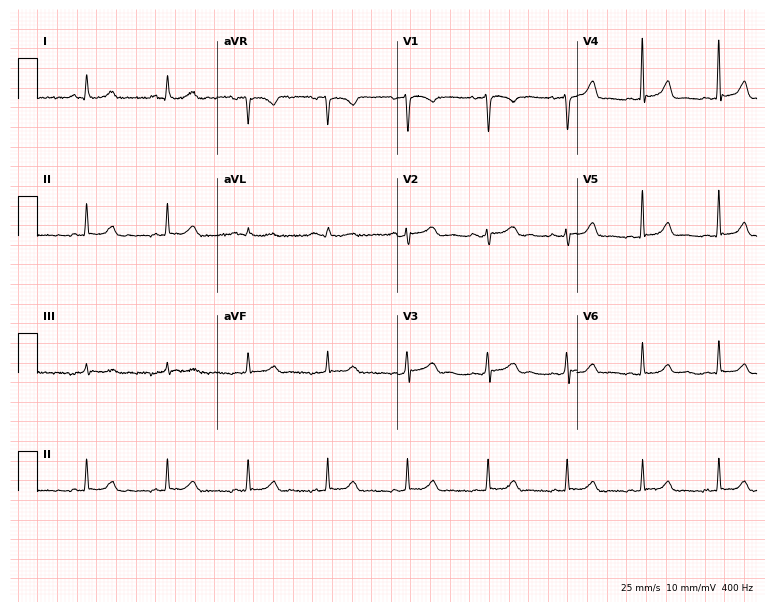
Standard 12-lead ECG recorded from a female, 31 years old (7.3-second recording at 400 Hz). None of these six findings is recorded: first-degree AV block, right bundle branch block, left bundle branch block, sinus bradycardia, atrial fibrillation, sinus tachycardia. Other findings, if any, are not listed.